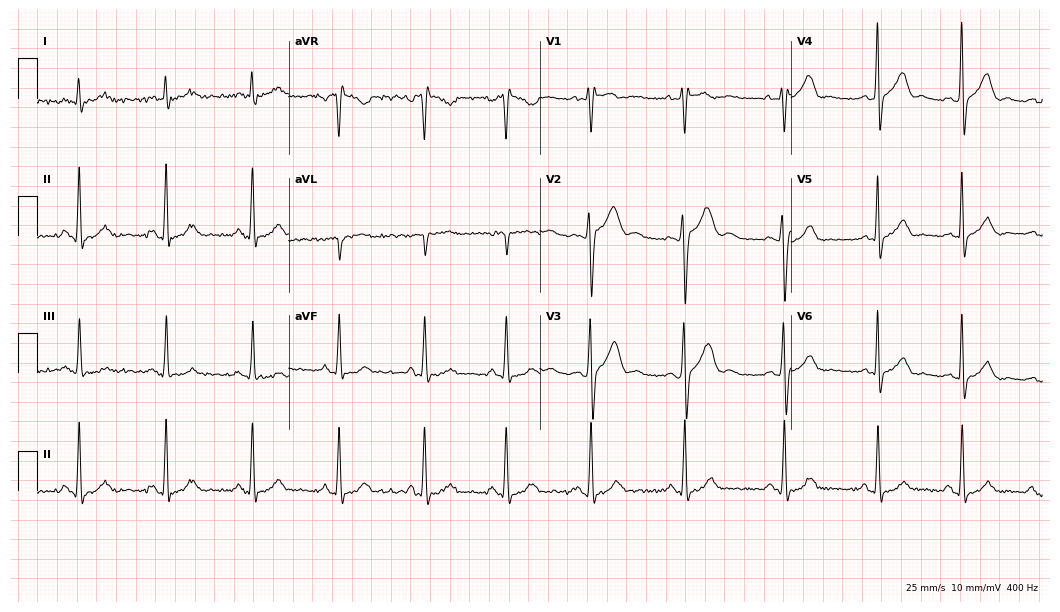
12-lead ECG from a 28-year-old male. Shows right bundle branch block.